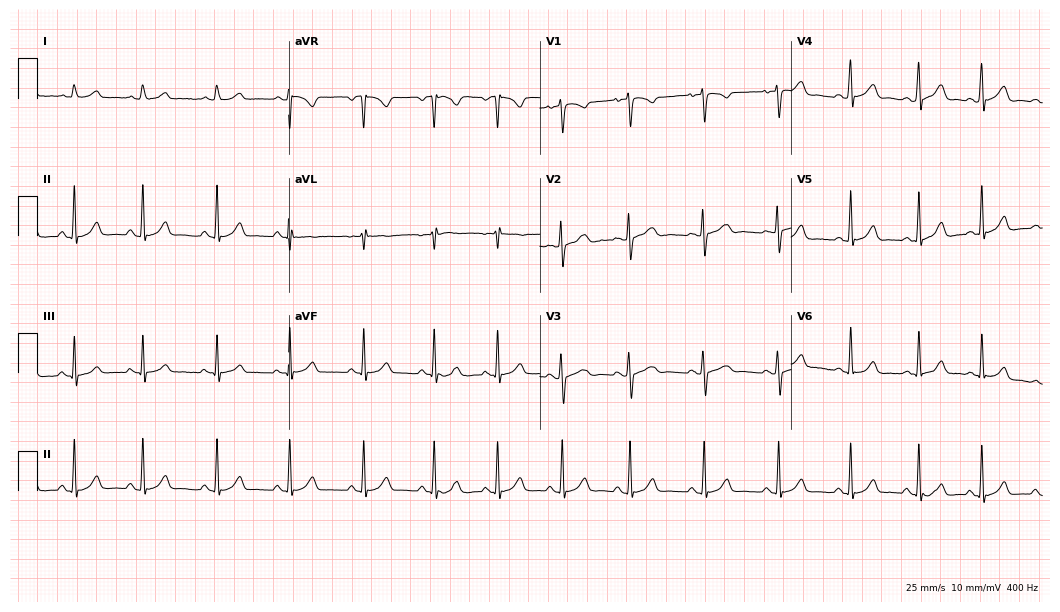
12-lead ECG from a 20-year-old woman (10.2-second recording at 400 Hz). Recorded interpretation: within normal limits.